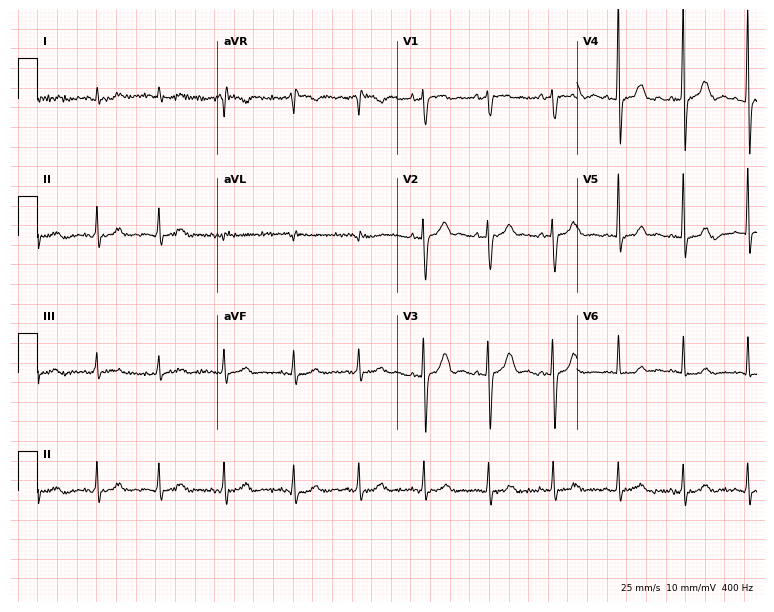
12-lead ECG (7.3-second recording at 400 Hz) from a female, 69 years old. Labelled as a normal ECG.